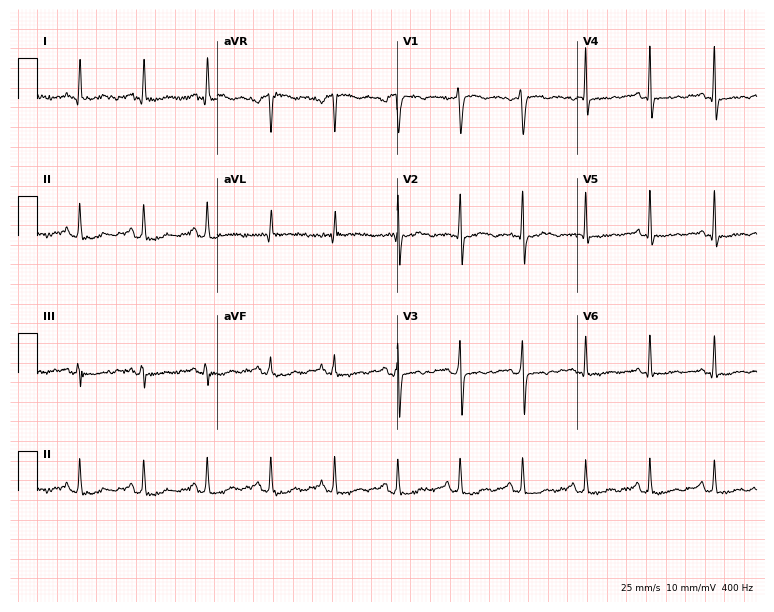
ECG — a female patient, 56 years old. Screened for six findings — first-degree AV block, right bundle branch block (RBBB), left bundle branch block (LBBB), sinus bradycardia, atrial fibrillation (AF), sinus tachycardia — none is recorded.